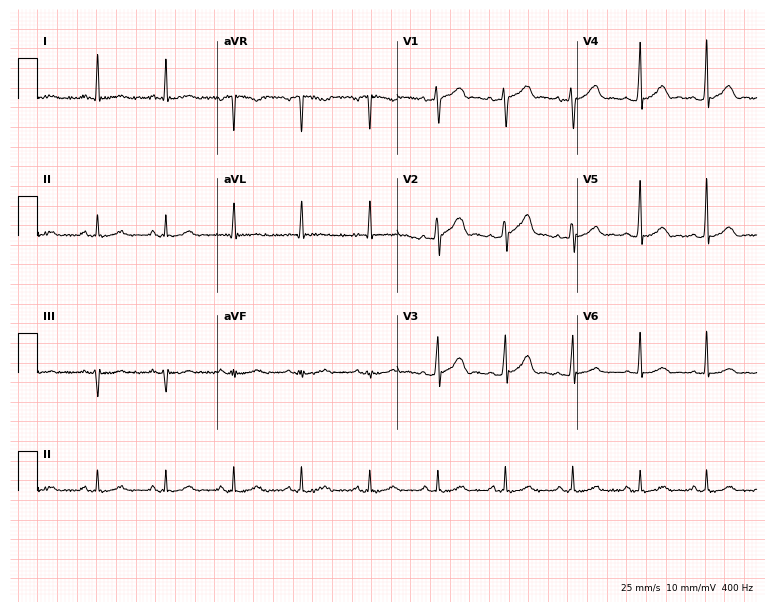
12-lead ECG from a male, 54 years old. Screened for six findings — first-degree AV block, right bundle branch block (RBBB), left bundle branch block (LBBB), sinus bradycardia, atrial fibrillation (AF), sinus tachycardia — none is recorded. Findings outside these six are not listed.